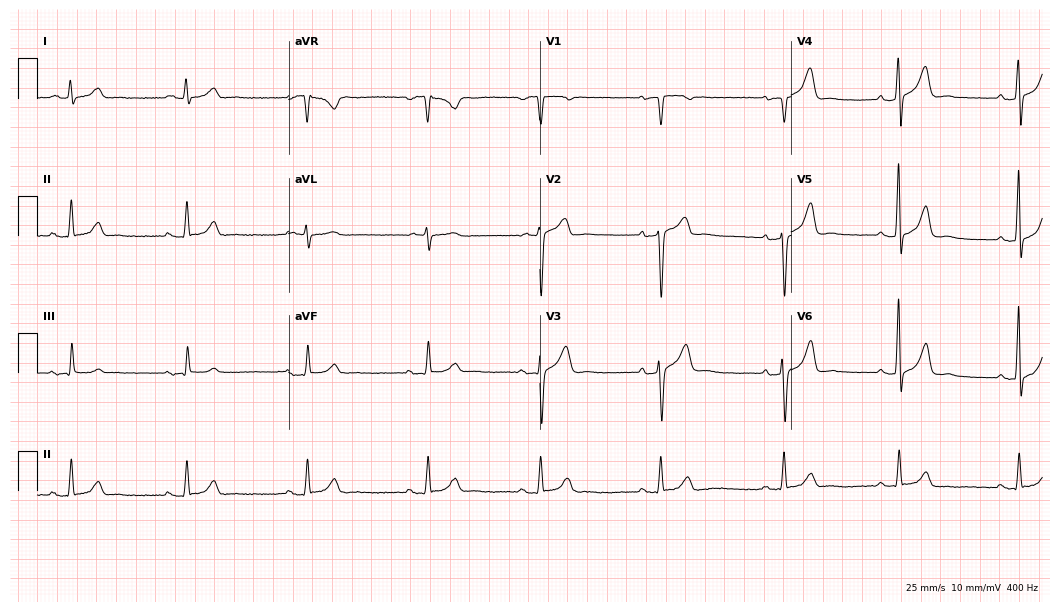
12-lead ECG from a man, 56 years old (10.2-second recording at 400 Hz). Shows sinus bradycardia (a sinus rate of 50 beats per minute or less).